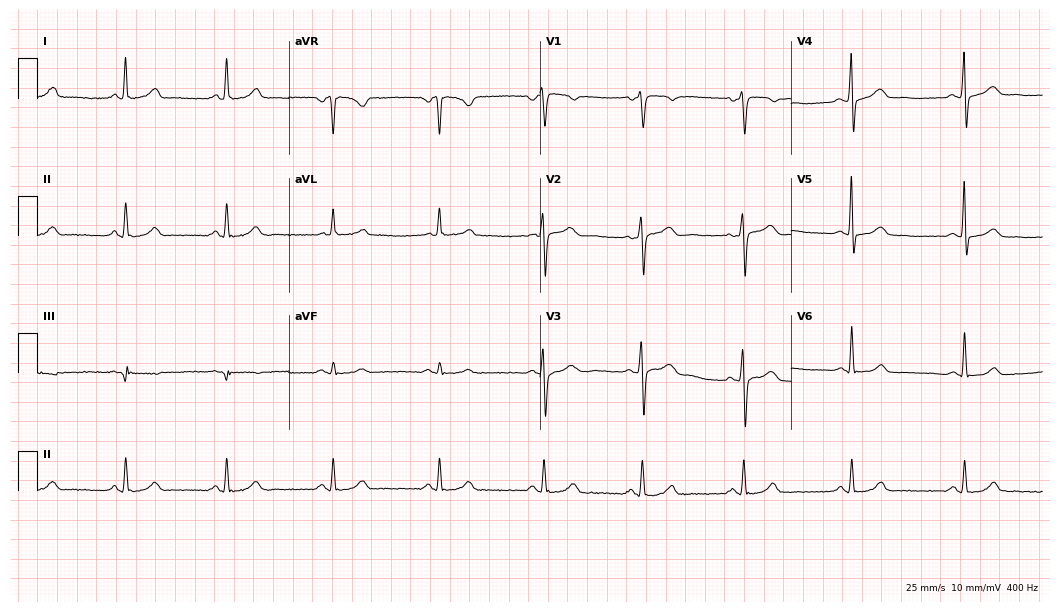
12-lead ECG from a 51-year-old female patient (10.2-second recording at 400 Hz). Recorded interpretation: within normal limits.